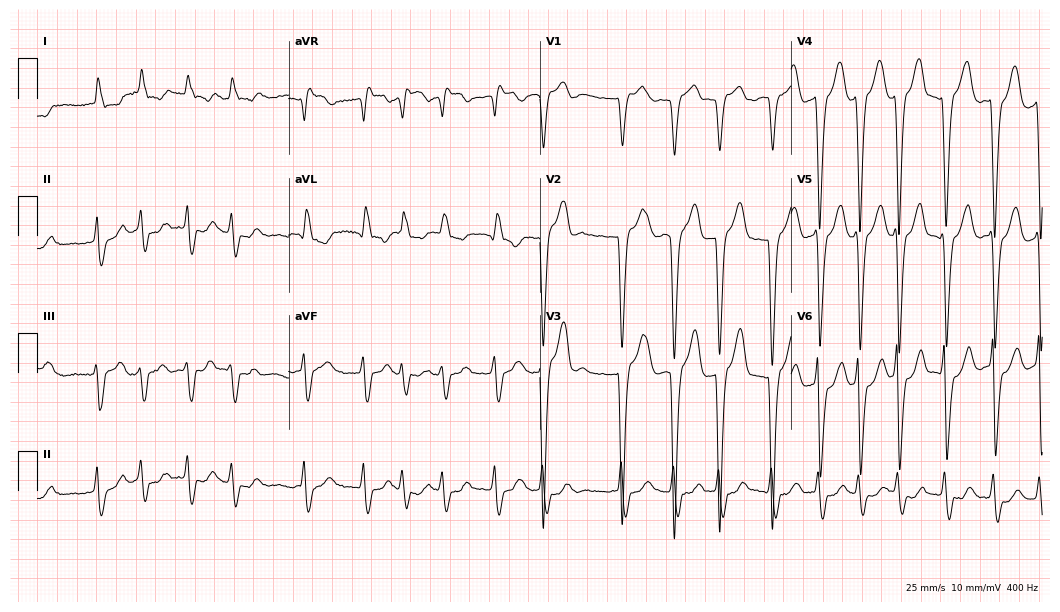
Resting 12-lead electrocardiogram (10.2-second recording at 400 Hz). Patient: an 81-year-old man. The tracing shows left bundle branch block, atrial fibrillation, sinus tachycardia (a sinus rate of 100 beats per minute or more).